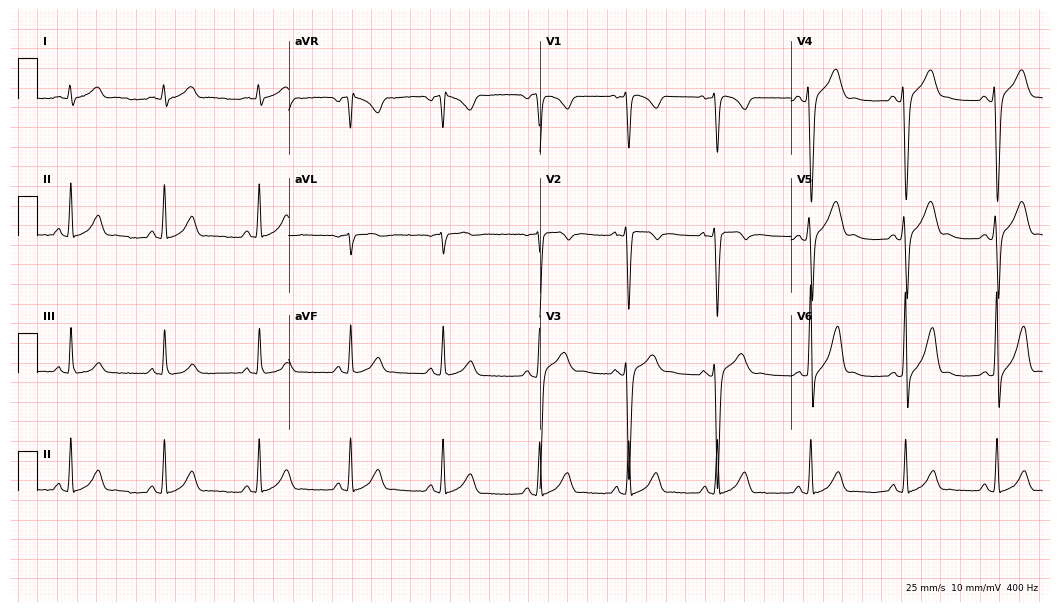
12-lead ECG from a male patient, 27 years old. Screened for six findings — first-degree AV block, right bundle branch block, left bundle branch block, sinus bradycardia, atrial fibrillation, sinus tachycardia — none is recorded.